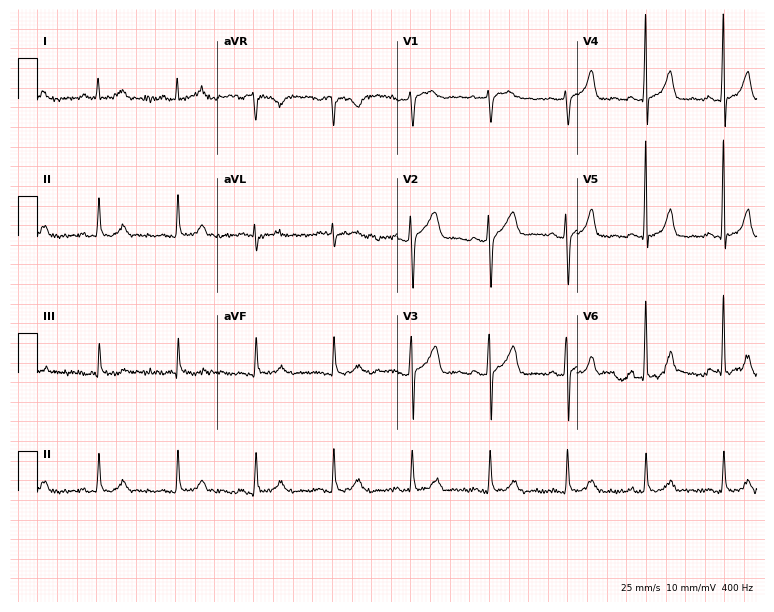
Resting 12-lead electrocardiogram. Patient: a 79-year-old woman. Read as a normal ECG.